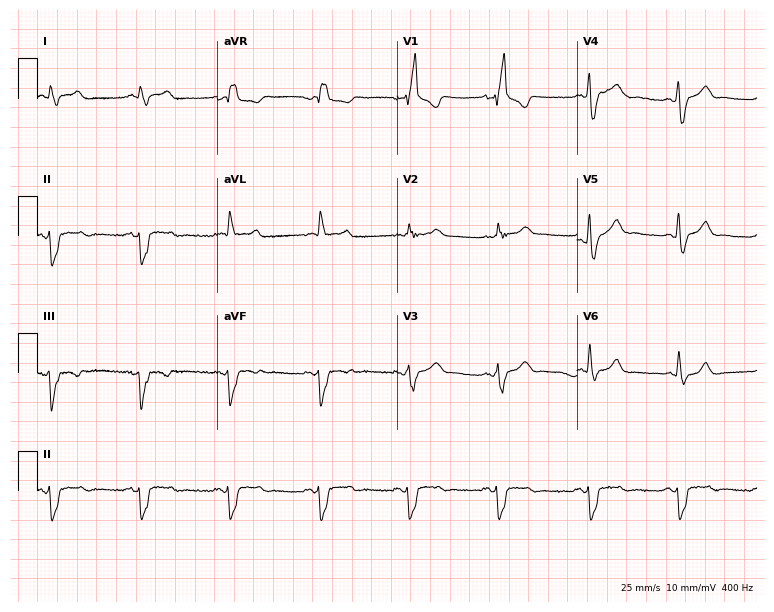
Resting 12-lead electrocardiogram (7.3-second recording at 400 Hz). Patient: a 54-year-old male. The tracing shows right bundle branch block (RBBB).